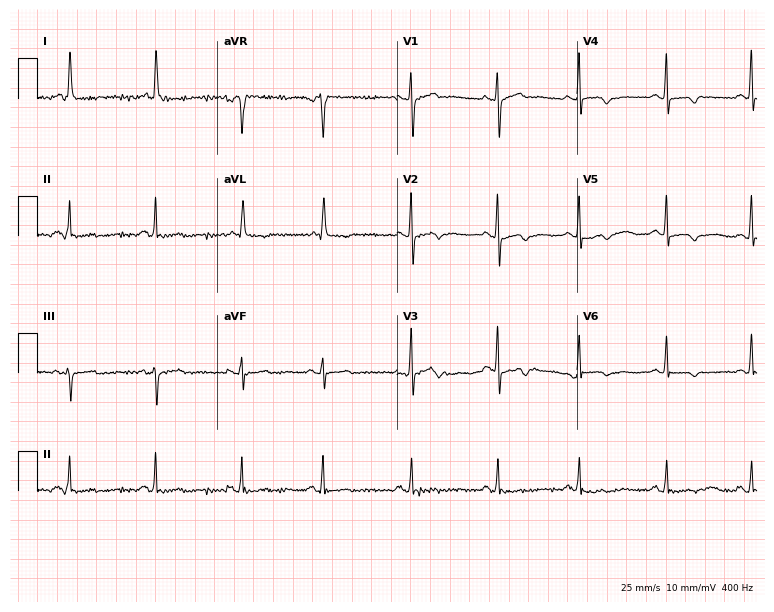
12-lead ECG from an 85-year-old woman. No first-degree AV block, right bundle branch block, left bundle branch block, sinus bradycardia, atrial fibrillation or sinus tachycardia recorded for this tracing. Other findings, if any, are not listed.